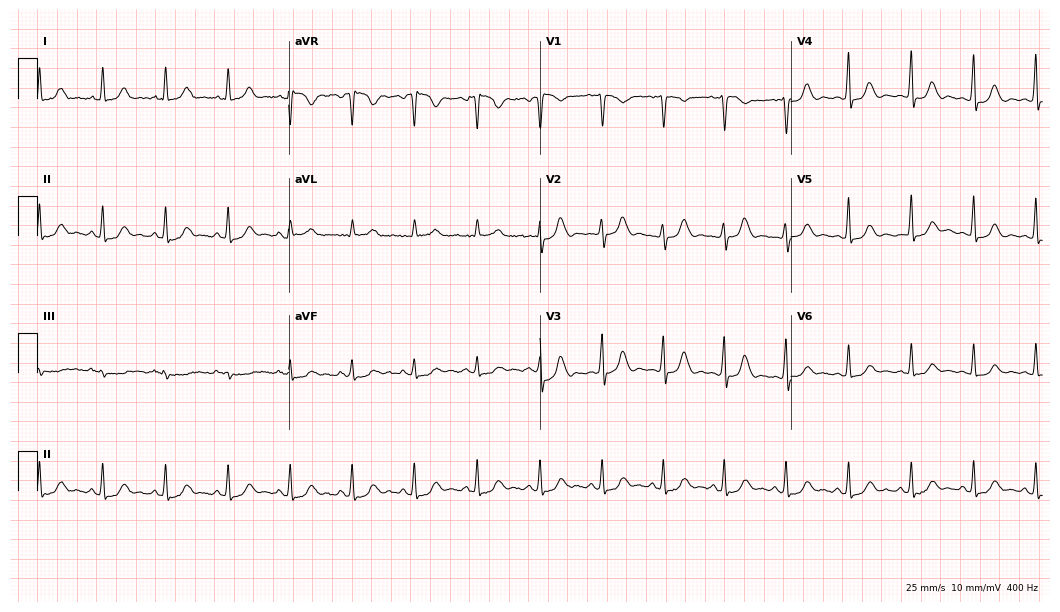
ECG (10.2-second recording at 400 Hz) — a 37-year-old female. Labelled as a normal ECG.